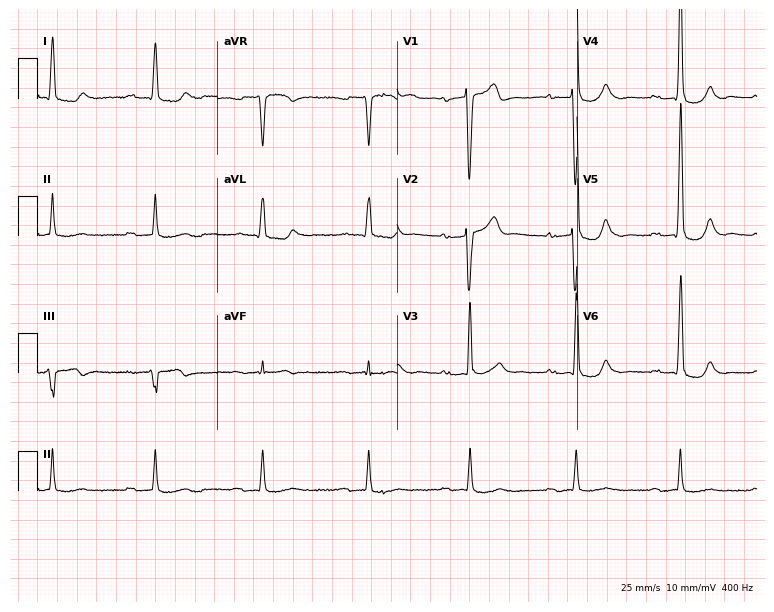
12-lead ECG from a 77-year-old male patient. Findings include first-degree AV block.